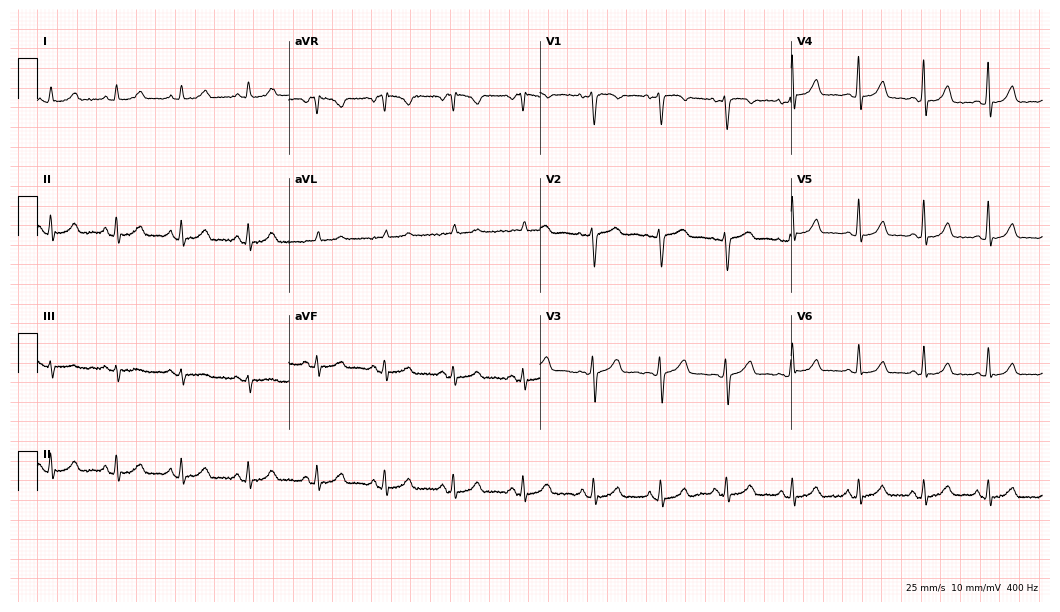
Electrocardiogram (10.2-second recording at 400 Hz), a female patient, 28 years old. Of the six screened findings (first-degree AV block, right bundle branch block (RBBB), left bundle branch block (LBBB), sinus bradycardia, atrial fibrillation (AF), sinus tachycardia), none is recorded. Only these six findings were labelled.